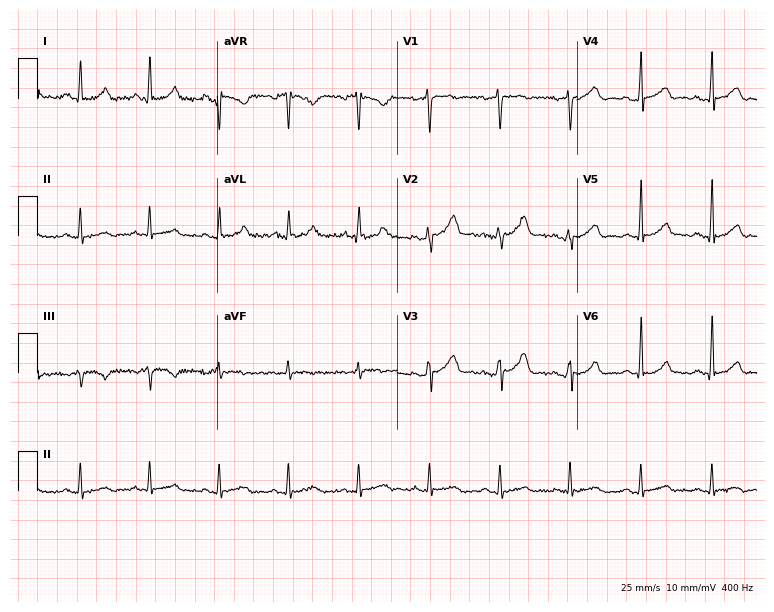
Resting 12-lead electrocardiogram. Patient: a 28-year-old woman. None of these six findings is recorded: first-degree AV block, right bundle branch block, left bundle branch block, sinus bradycardia, atrial fibrillation, sinus tachycardia. Findings outside these six are not listed.